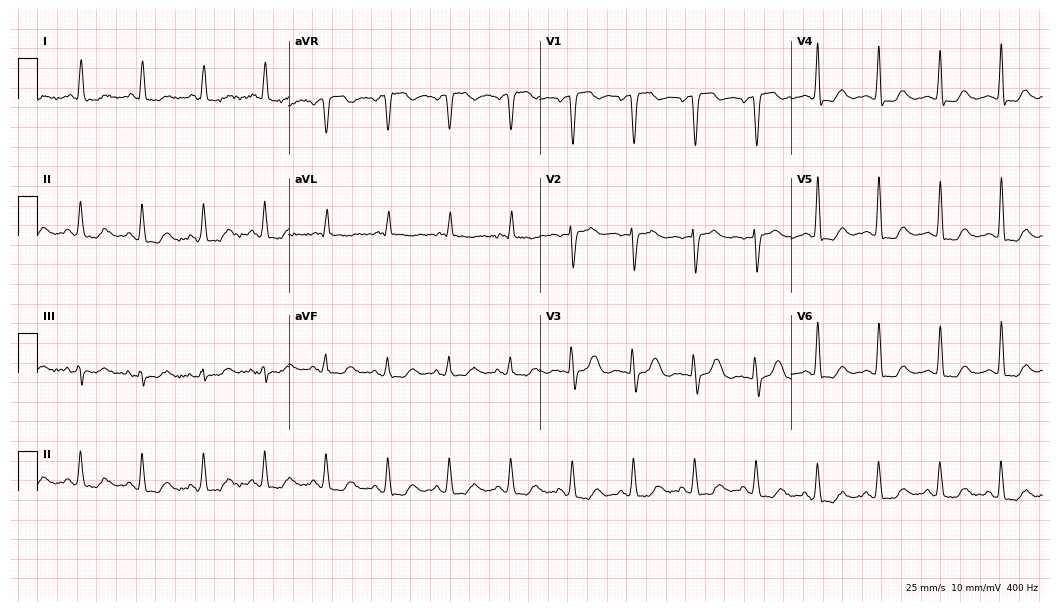
Electrocardiogram (10.2-second recording at 400 Hz), a 77-year-old female. Of the six screened findings (first-degree AV block, right bundle branch block, left bundle branch block, sinus bradycardia, atrial fibrillation, sinus tachycardia), none is recorded. Findings outside these six are not listed.